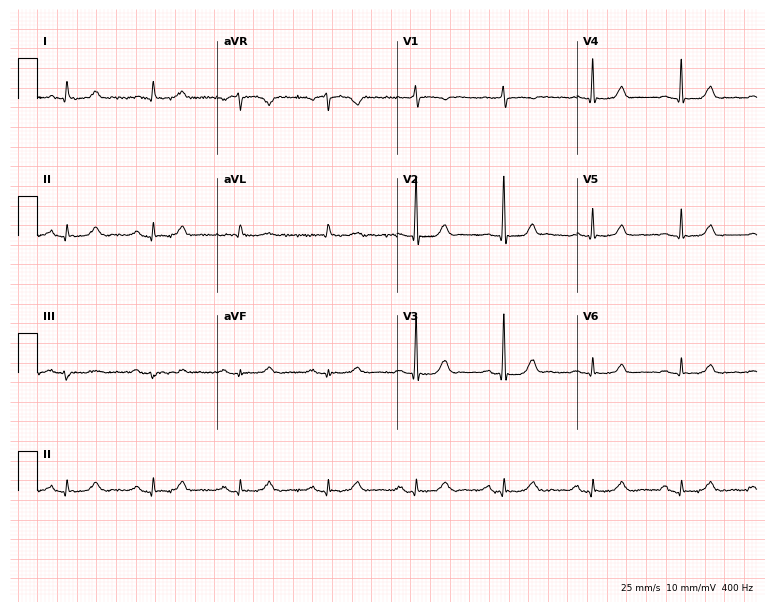
Resting 12-lead electrocardiogram. Patient: an 81-year-old female. Read as a normal ECG.